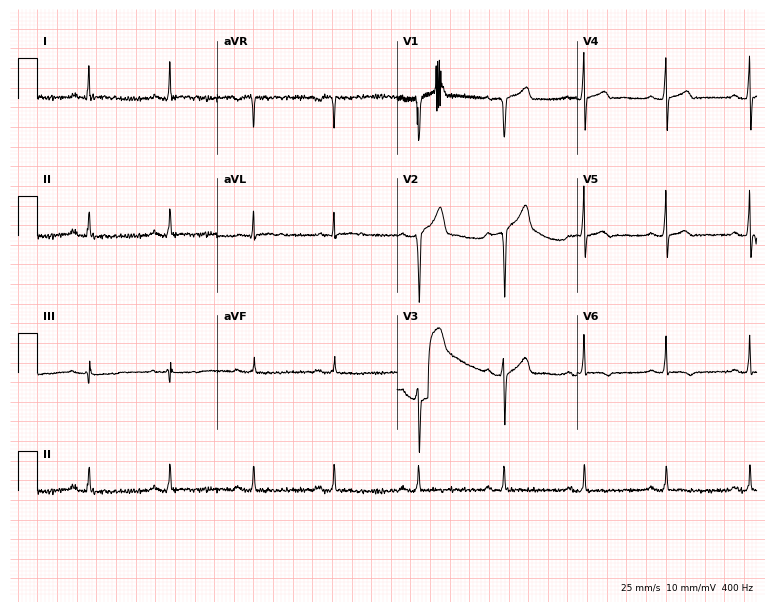
ECG (7.3-second recording at 400 Hz) — a 34-year-old male patient. Screened for six findings — first-degree AV block, right bundle branch block, left bundle branch block, sinus bradycardia, atrial fibrillation, sinus tachycardia — none is recorded.